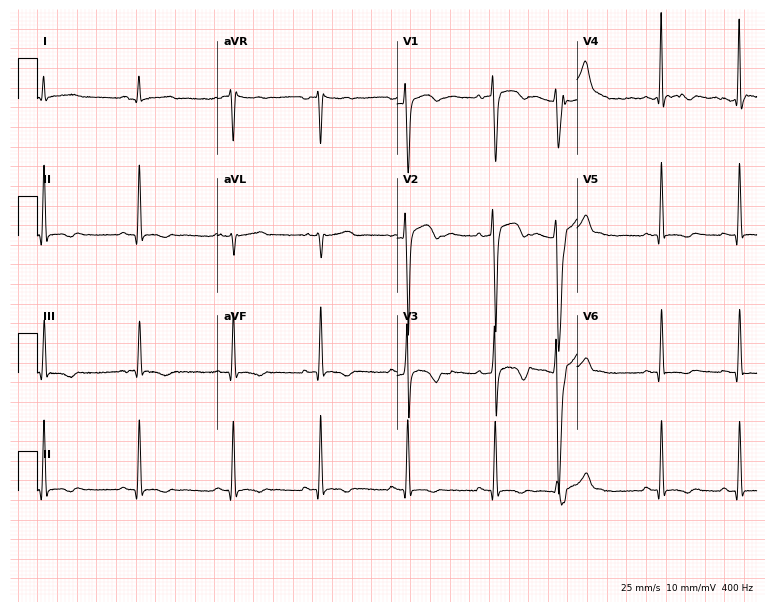
Electrocardiogram, a 24-year-old man. Of the six screened findings (first-degree AV block, right bundle branch block, left bundle branch block, sinus bradycardia, atrial fibrillation, sinus tachycardia), none is recorded. Findings outside these six are not listed.